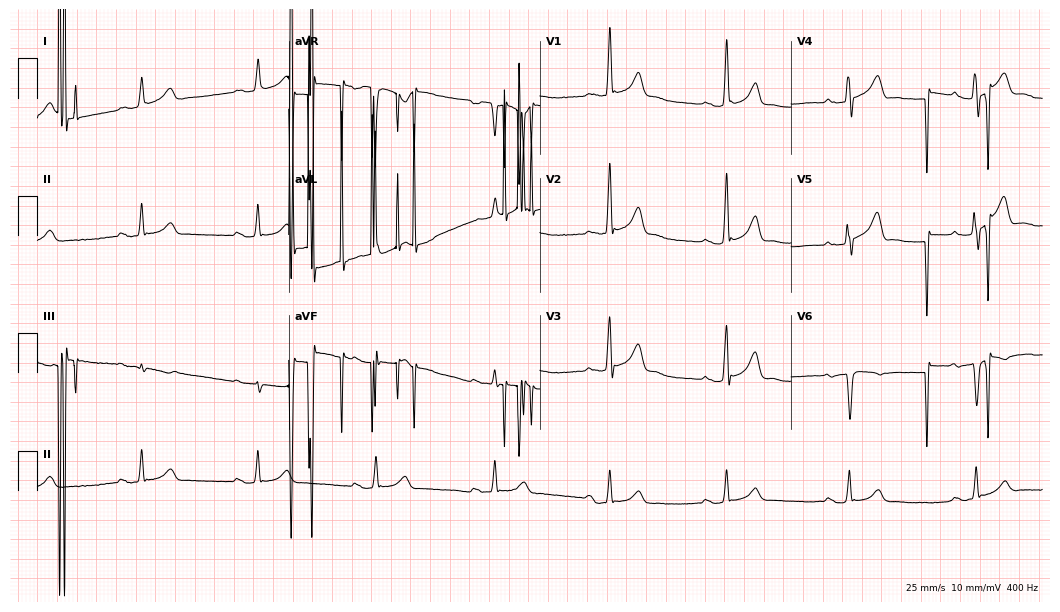
Electrocardiogram, a male patient, 72 years old. Of the six screened findings (first-degree AV block, right bundle branch block, left bundle branch block, sinus bradycardia, atrial fibrillation, sinus tachycardia), none is recorded.